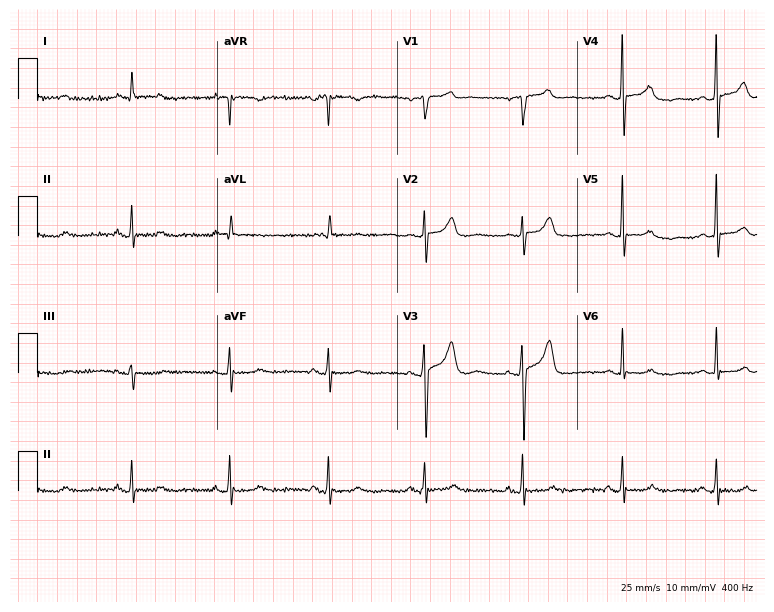
Resting 12-lead electrocardiogram (7.3-second recording at 400 Hz). Patient: a 78-year-old female. Read as a normal ECG.